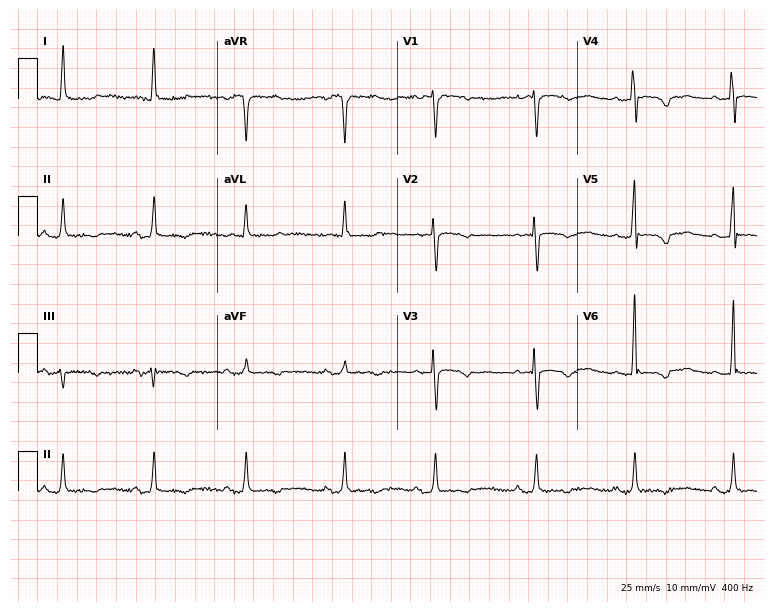
ECG (7.3-second recording at 400 Hz) — a 60-year-old woman. Screened for six findings — first-degree AV block, right bundle branch block, left bundle branch block, sinus bradycardia, atrial fibrillation, sinus tachycardia — none is recorded. Only these six findings were labelled.